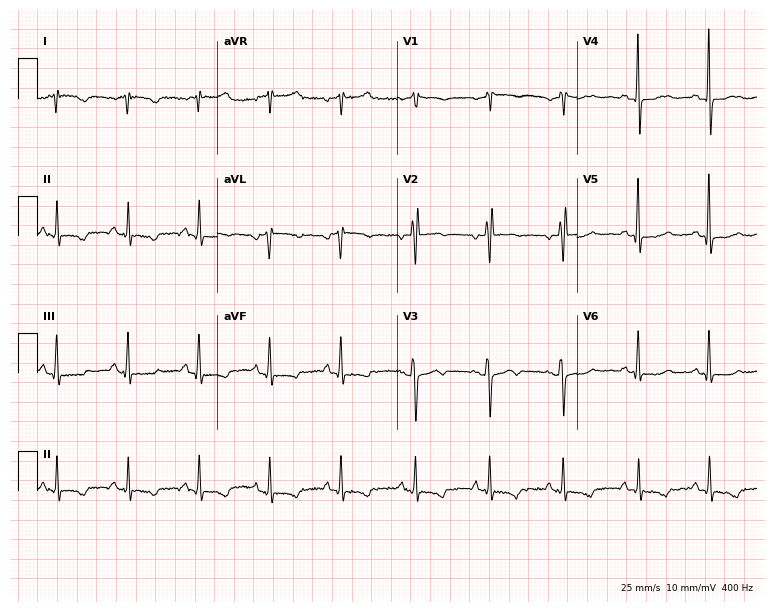
12-lead ECG from a 55-year-old female patient. Screened for six findings — first-degree AV block, right bundle branch block, left bundle branch block, sinus bradycardia, atrial fibrillation, sinus tachycardia — none is recorded. Only these six findings were labelled.